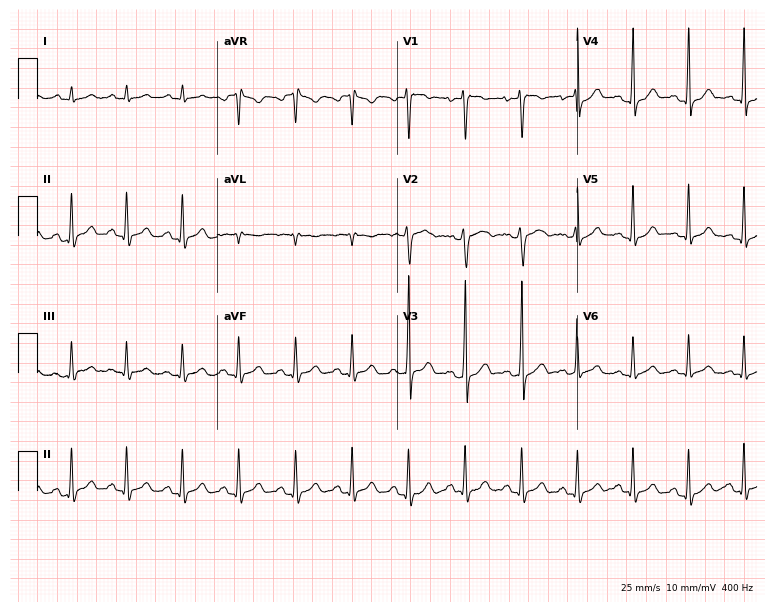
Resting 12-lead electrocardiogram. Patient: a 28-year-old male. The tracing shows sinus tachycardia (a sinus rate of 100 beats per minute or more).